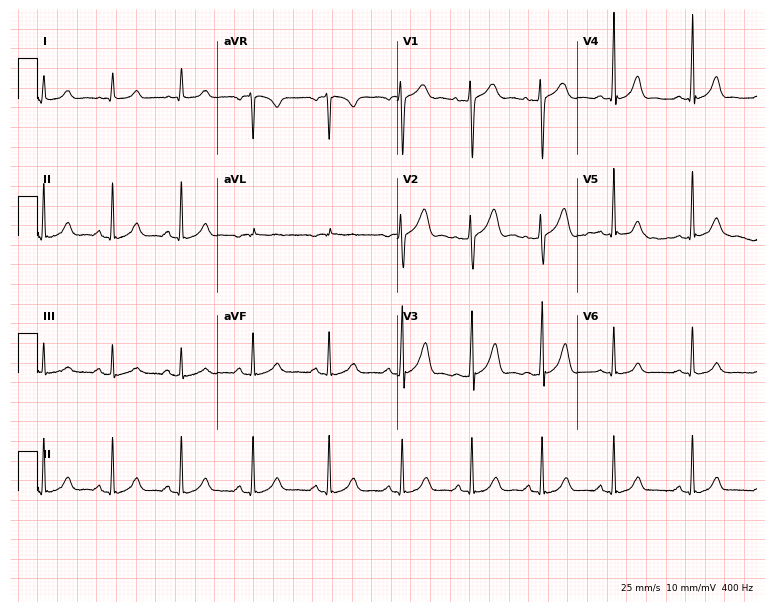
12-lead ECG from a woman, 29 years old (7.3-second recording at 400 Hz). No first-degree AV block, right bundle branch block, left bundle branch block, sinus bradycardia, atrial fibrillation or sinus tachycardia recorded for this tracing.